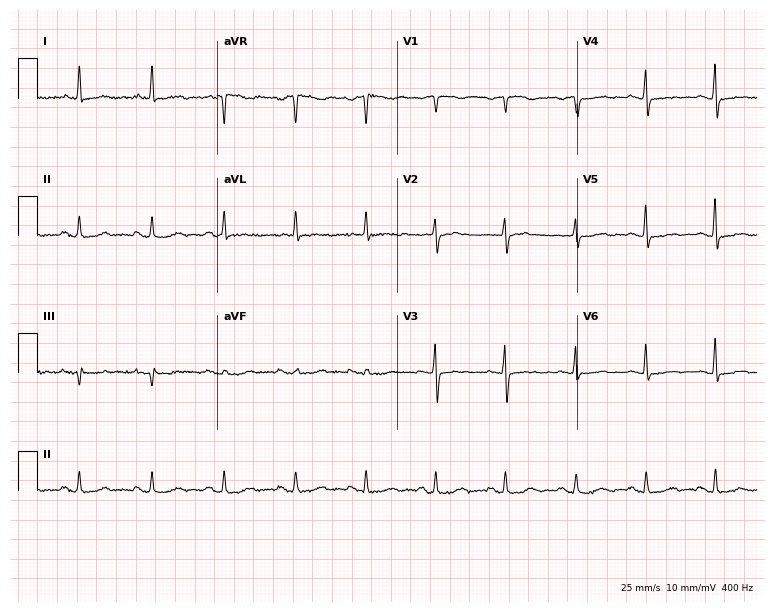
Electrocardiogram (7.3-second recording at 400 Hz), a female, 64 years old. Of the six screened findings (first-degree AV block, right bundle branch block (RBBB), left bundle branch block (LBBB), sinus bradycardia, atrial fibrillation (AF), sinus tachycardia), none is recorded.